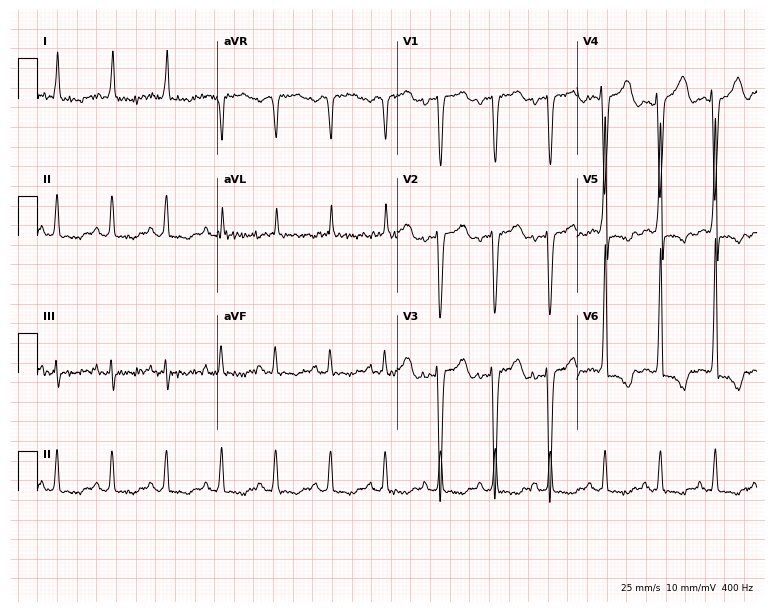
ECG — a woman, 61 years old. Screened for six findings — first-degree AV block, right bundle branch block, left bundle branch block, sinus bradycardia, atrial fibrillation, sinus tachycardia — none is recorded. Only these six findings were labelled.